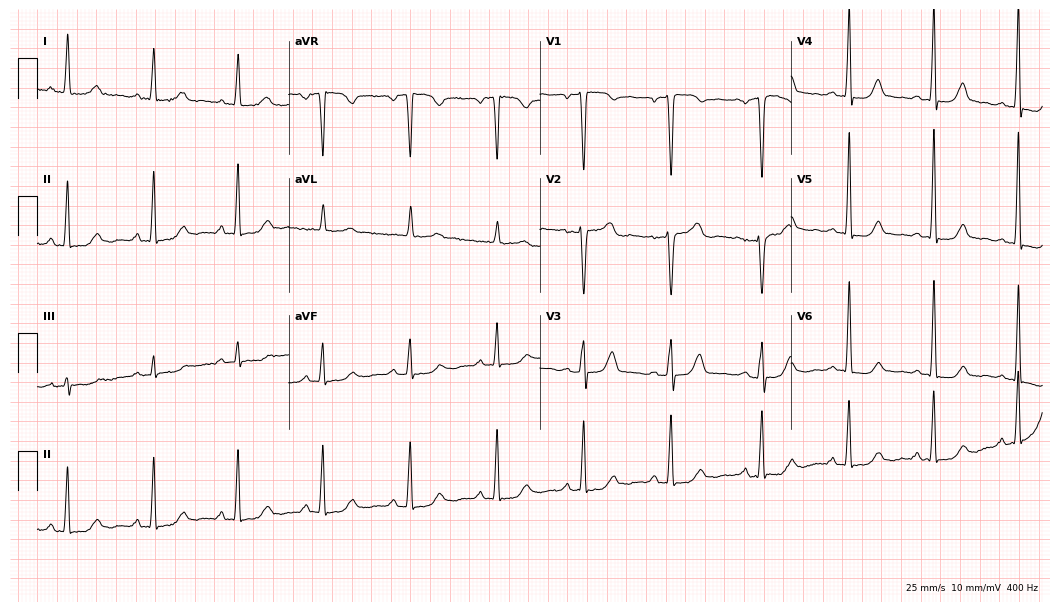
12-lead ECG (10.2-second recording at 400 Hz) from a 51-year-old woman. Screened for six findings — first-degree AV block, right bundle branch block, left bundle branch block, sinus bradycardia, atrial fibrillation, sinus tachycardia — none is recorded.